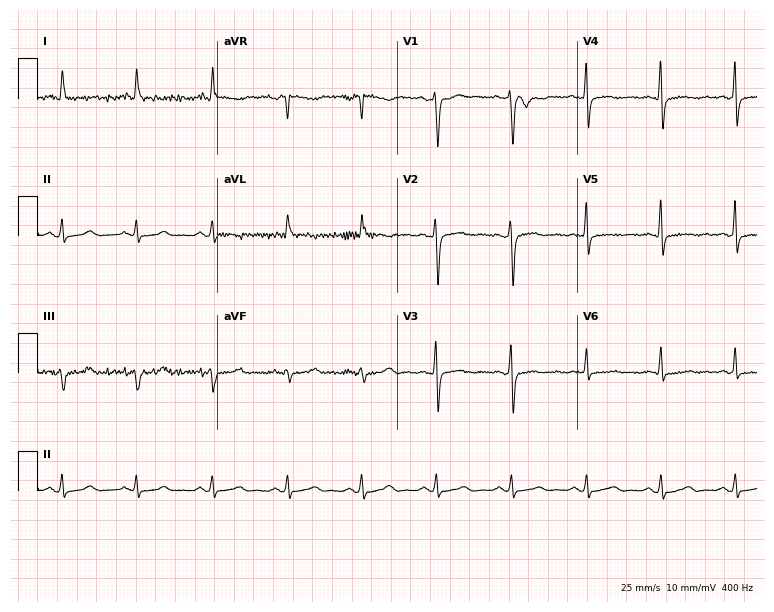
Electrocardiogram, a woman, 50 years old. Of the six screened findings (first-degree AV block, right bundle branch block, left bundle branch block, sinus bradycardia, atrial fibrillation, sinus tachycardia), none is recorded.